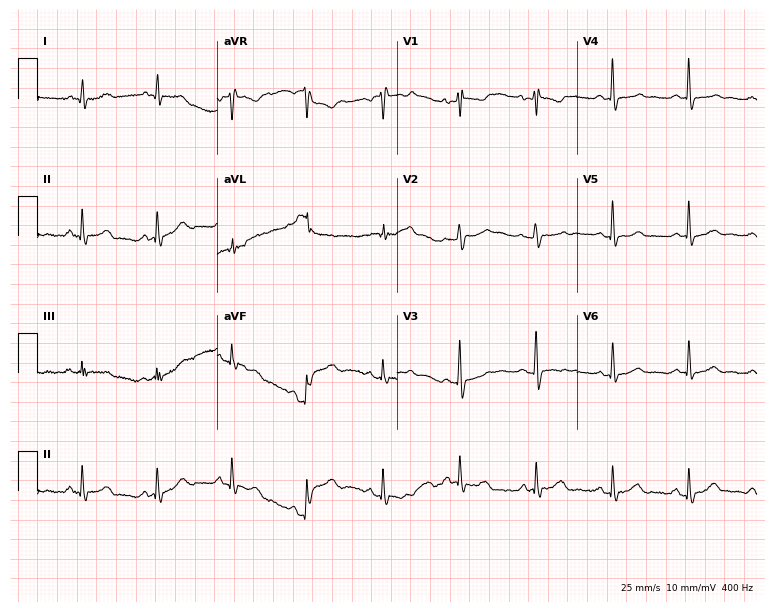
12-lead ECG (7.3-second recording at 400 Hz) from a 54-year-old female. Screened for six findings — first-degree AV block, right bundle branch block, left bundle branch block, sinus bradycardia, atrial fibrillation, sinus tachycardia — none is recorded.